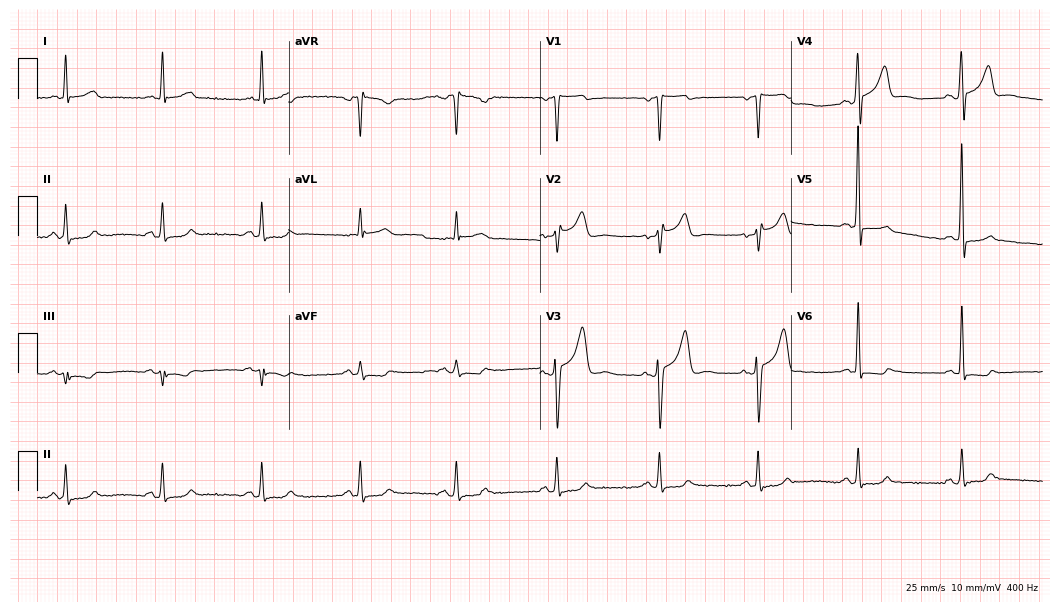
Standard 12-lead ECG recorded from a 40-year-old man (10.2-second recording at 400 Hz). Read as a normal ECG.